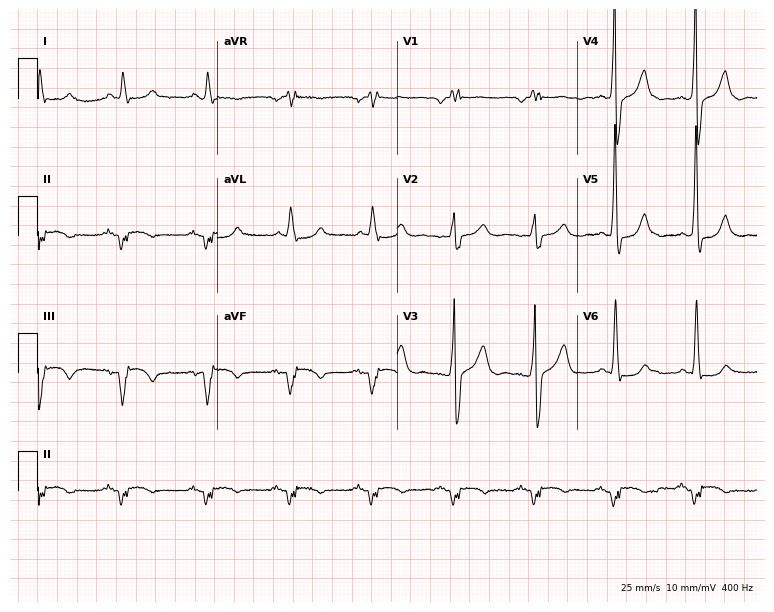
ECG (7.3-second recording at 400 Hz) — a 59-year-old male patient. Screened for six findings — first-degree AV block, right bundle branch block, left bundle branch block, sinus bradycardia, atrial fibrillation, sinus tachycardia — none is recorded. Other findings, if any, are not listed.